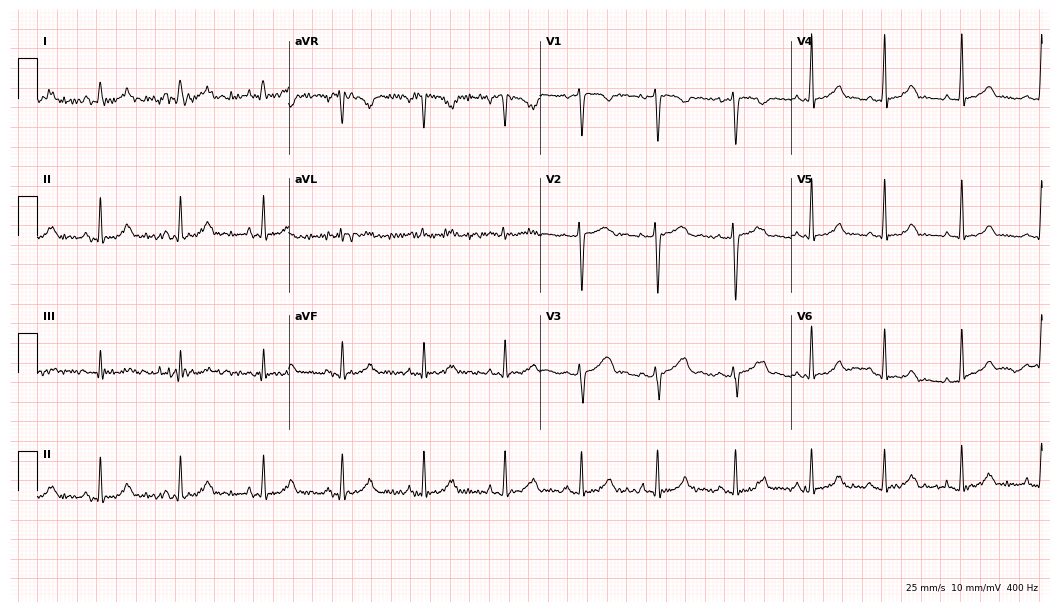
Standard 12-lead ECG recorded from a female, 34 years old (10.2-second recording at 400 Hz). Read as a normal ECG.